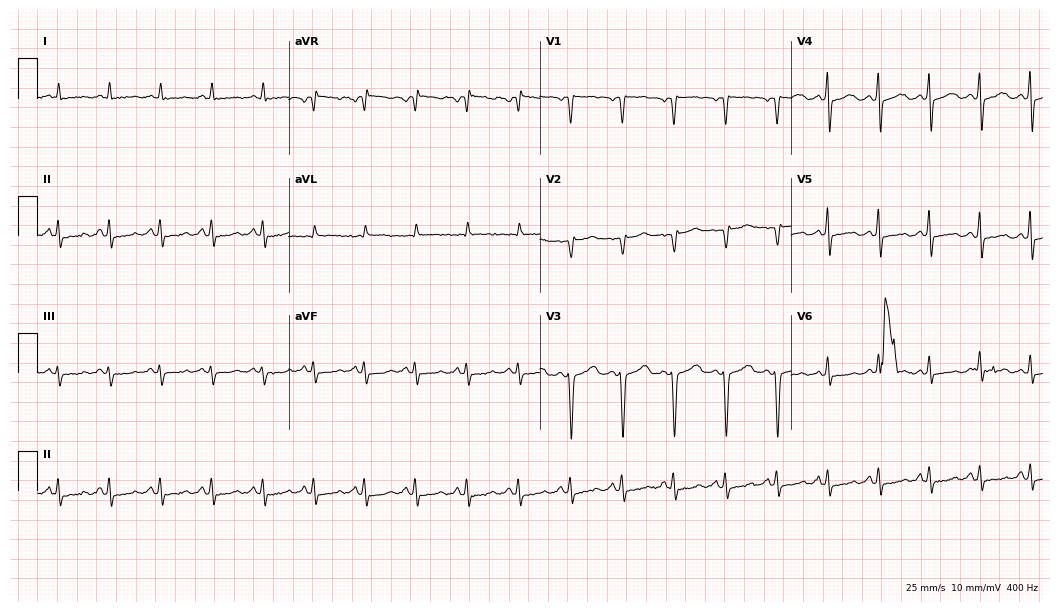
Electrocardiogram (10.2-second recording at 400 Hz), a woman, 37 years old. Of the six screened findings (first-degree AV block, right bundle branch block, left bundle branch block, sinus bradycardia, atrial fibrillation, sinus tachycardia), none is recorded.